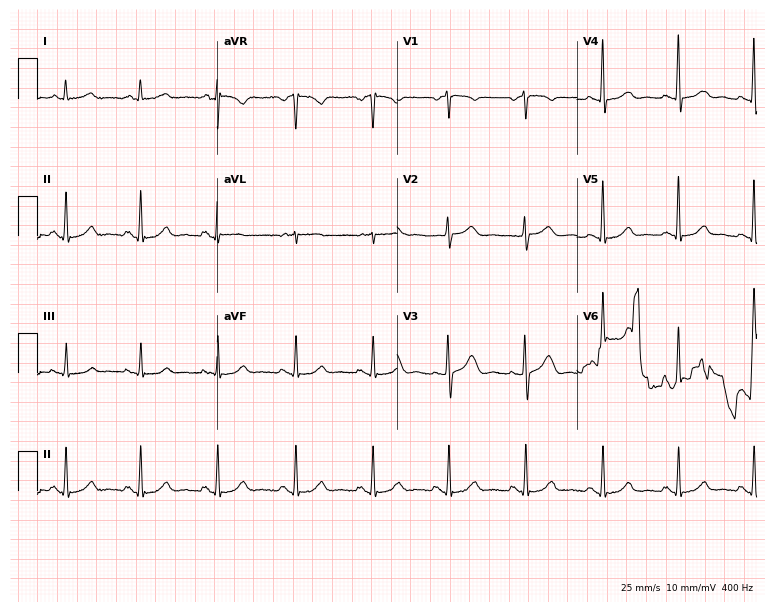
12-lead ECG from a 63-year-old woman. Recorded interpretation: within normal limits.